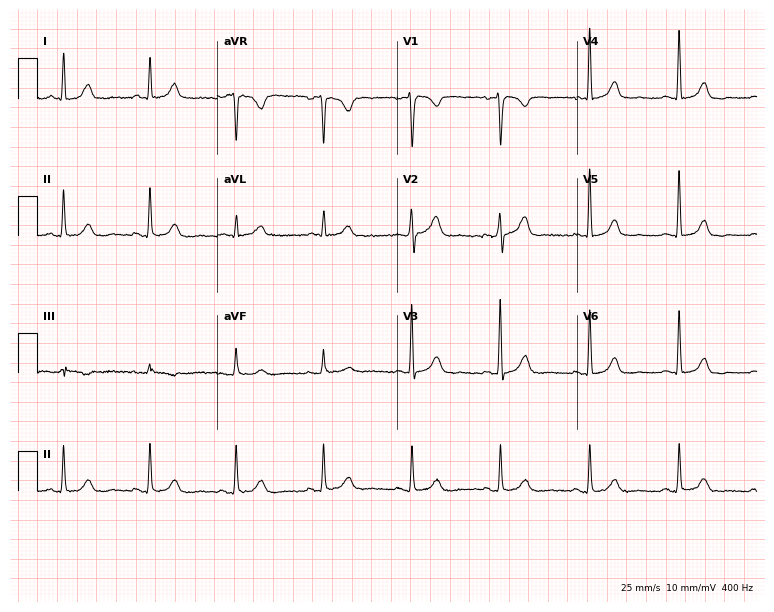
ECG (7.3-second recording at 400 Hz) — a female patient, 52 years old. Labelled as a normal ECG.